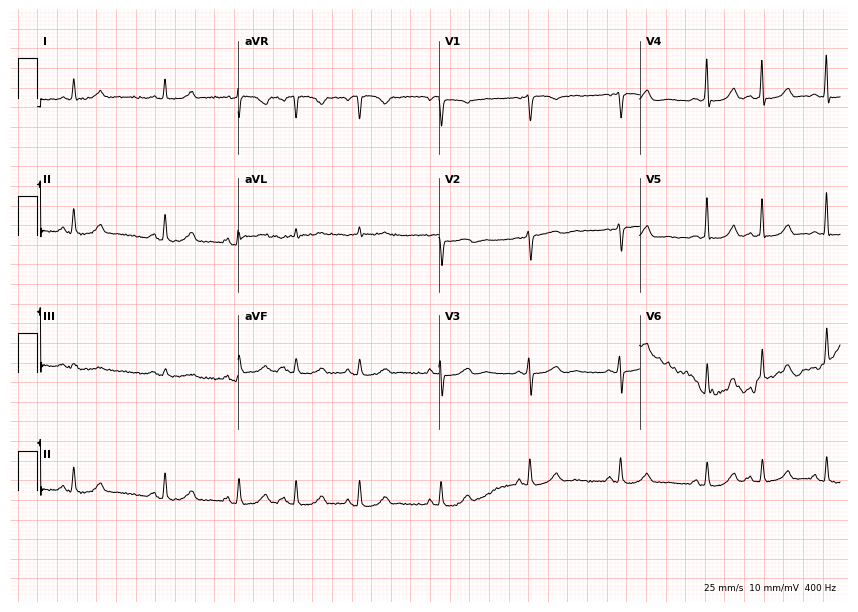
Electrocardiogram, a 70-year-old female. Overall reading on record: normal ECG.